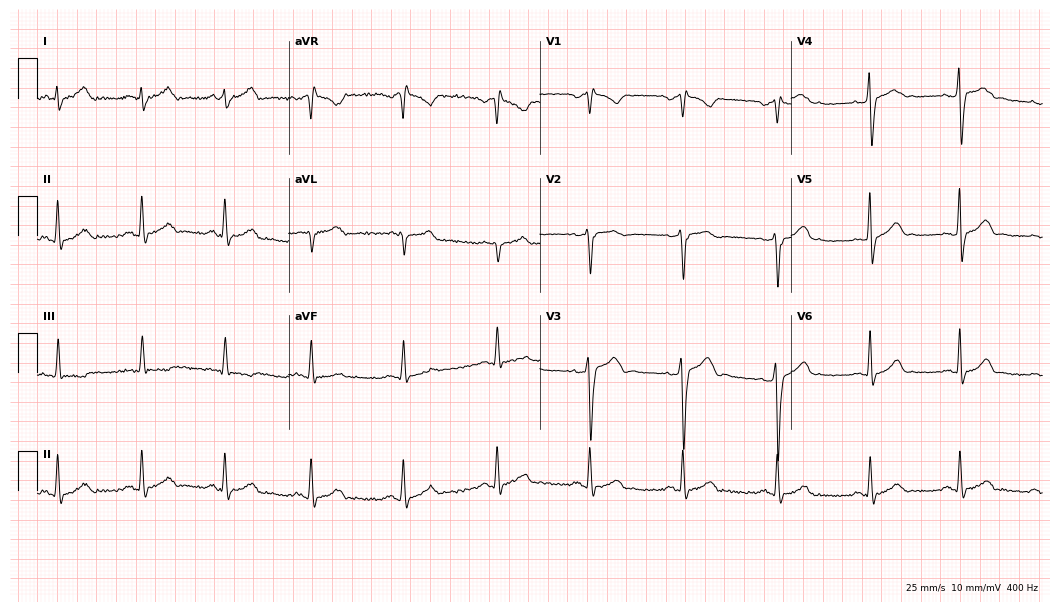
Standard 12-lead ECG recorded from a male, 37 years old. Read as a normal ECG.